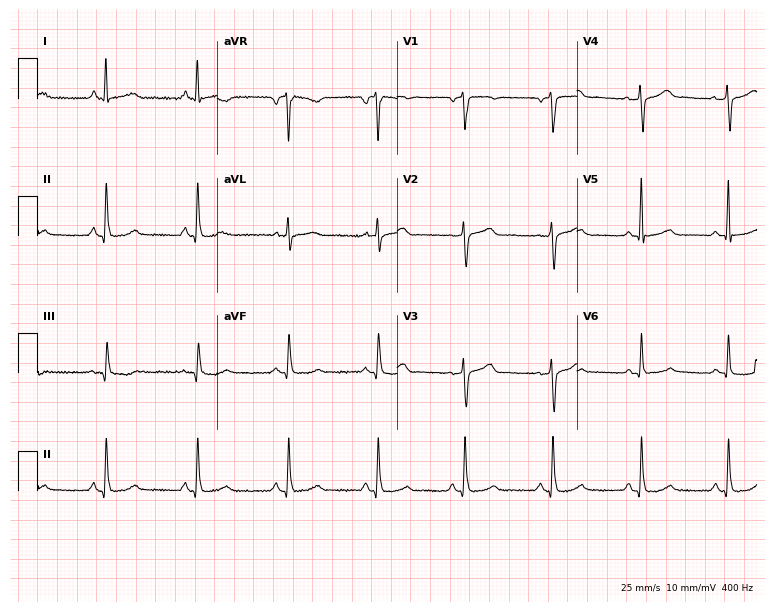
ECG — a female patient, 62 years old. Labelled as a normal ECG.